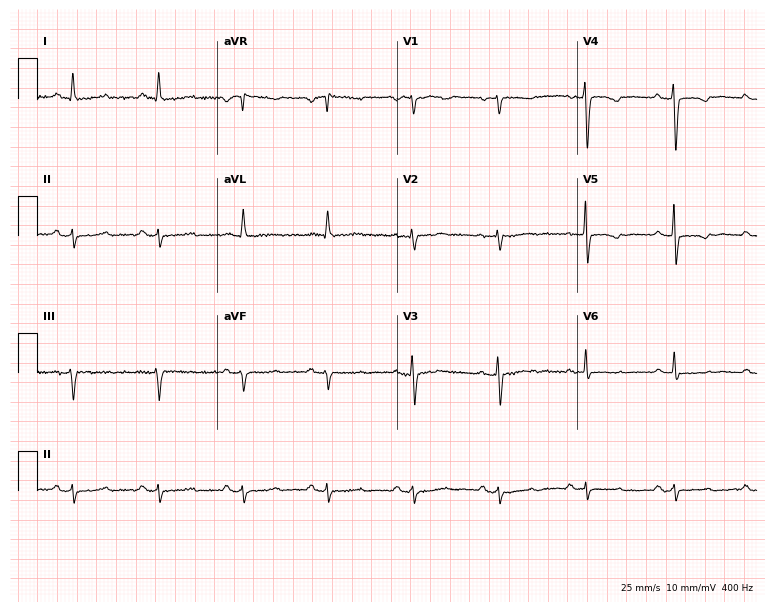
12-lead ECG from a 56-year-old female patient (7.3-second recording at 400 Hz). No first-degree AV block, right bundle branch block, left bundle branch block, sinus bradycardia, atrial fibrillation or sinus tachycardia recorded for this tracing.